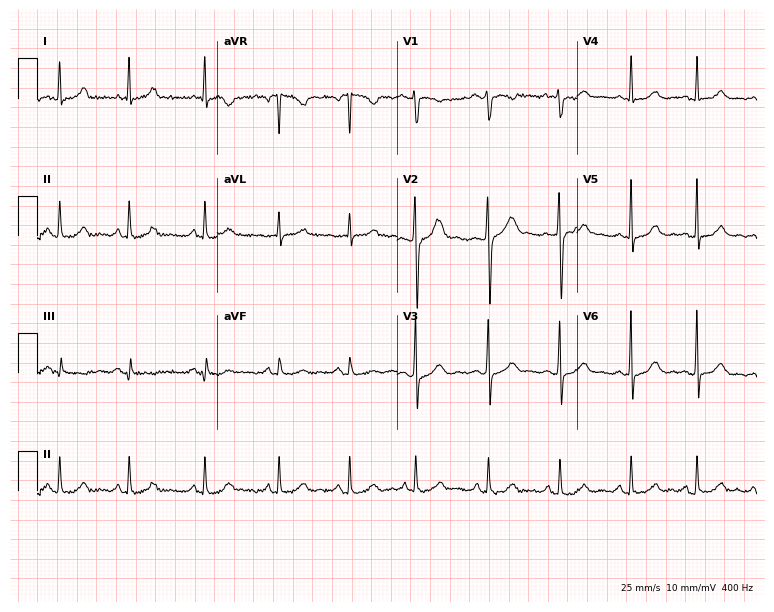
Standard 12-lead ECG recorded from a female patient, 23 years old. None of these six findings is recorded: first-degree AV block, right bundle branch block, left bundle branch block, sinus bradycardia, atrial fibrillation, sinus tachycardia. Other findings, if any, are not listed.